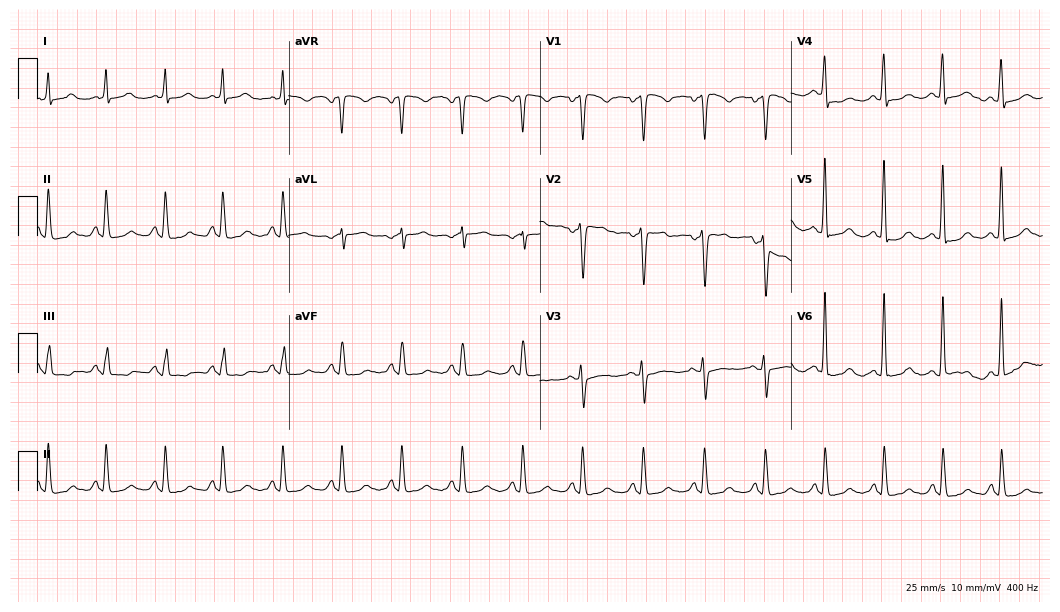
12-lead ECG (10.2-second recording at 400 Hz) from a woman, 62 years old. Screened for six findings — first-degree AV block, right bundle branch block, left bundle branch block, sinus bradycardia, atrial fibrillation, sinus tachycardia — none is recorded. Findings outside these six are not listed.